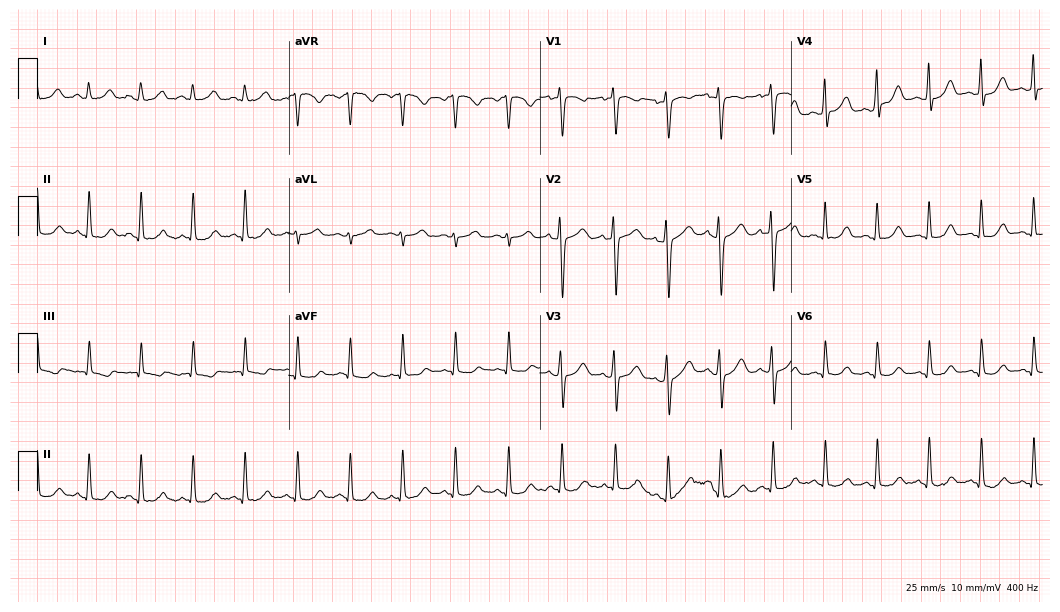
Resting 12-lead electrocardiogram. Patient: a 26-year-old woman. The tracing shows sinus tachycardia (a sinus rate of 100 beats per minute or more).